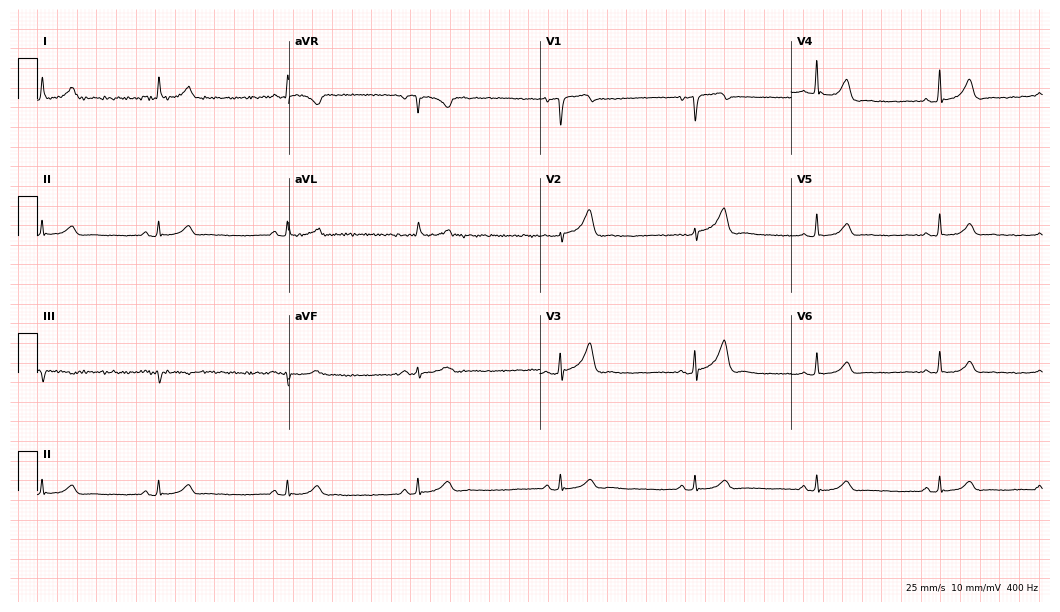
Electrocardiogram, a 55-year-old woman. Overall reading on record: normal ECG.